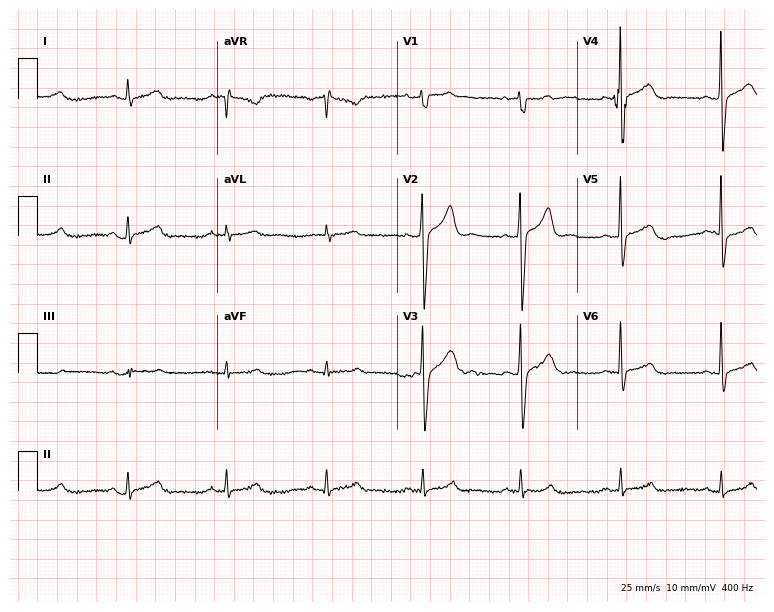
12-lead ECG from a male patient, 56 years old. Labelled as a normal ECG.